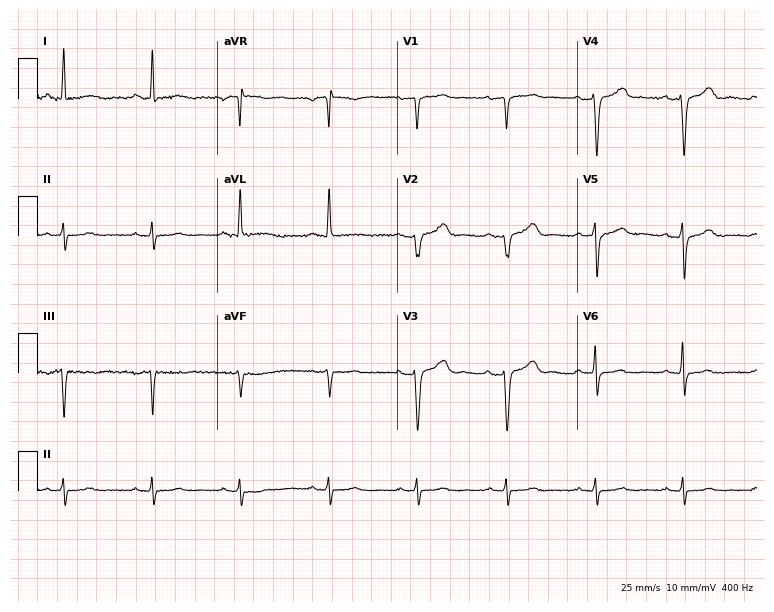
Electrocardiogram (7.3-second recording at 400 Hz), a 77-year-old woman. Of the six screened findings (first-degree AV block, right bundle branch block, left bundle branch block, sinus bradycardia, atrial fibrillation, sinus tachycardia), none is recorded.